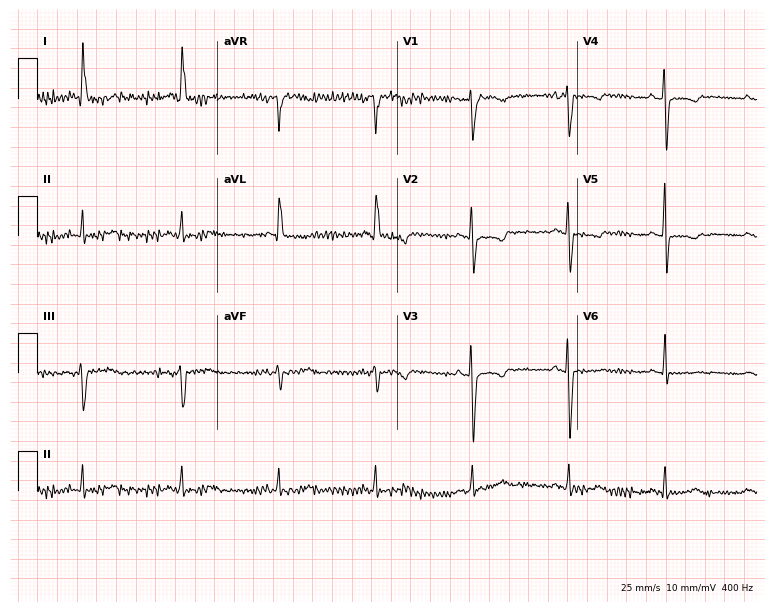
Standard 12-lead ECG recorded from a 69-year-old female. None of these six findings is recorded: first-degree AV block, right bundle branch block, left bundle branch block, sinus bradycardia, atrial fibrillation, sinus tachycardia. Only these six findings were labelled.